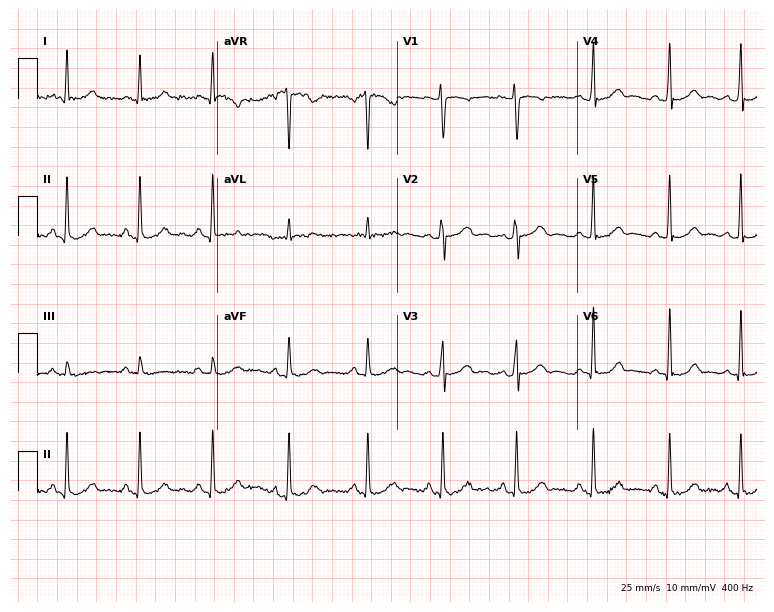
12-lead ECG from a 17-year-old female. Labelled as a normal ECG.